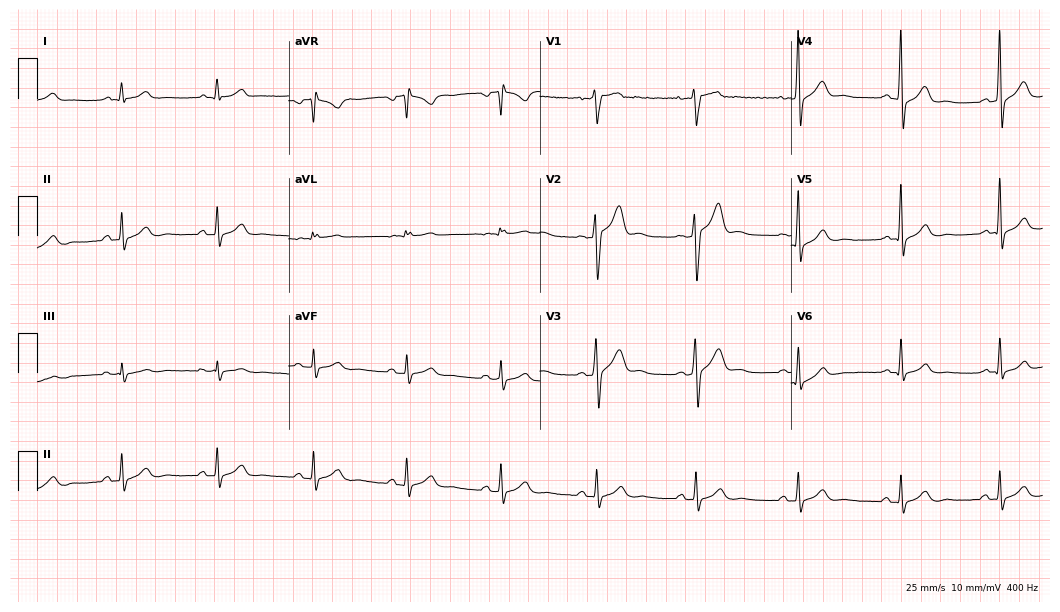
12-lead ECG from a male, 29 years old (10.2-second recording at 400 Hz). Recorded interpretation: within normal limits.